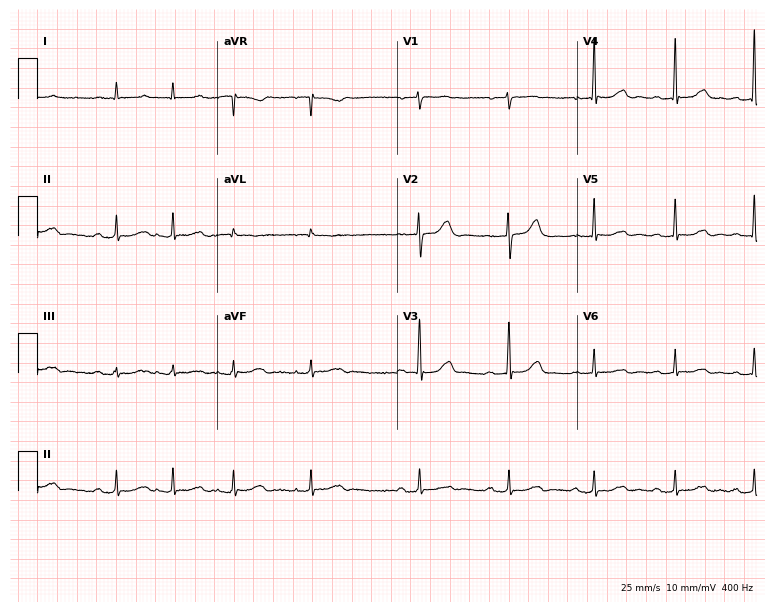
12-lead ECG from a woman, 66 years old. No first-degree AV block, right bundle branch block, left bundle branch block, sinus bradycardia, atrial fibrillation or sinus tachycardia recorded for this tracing.